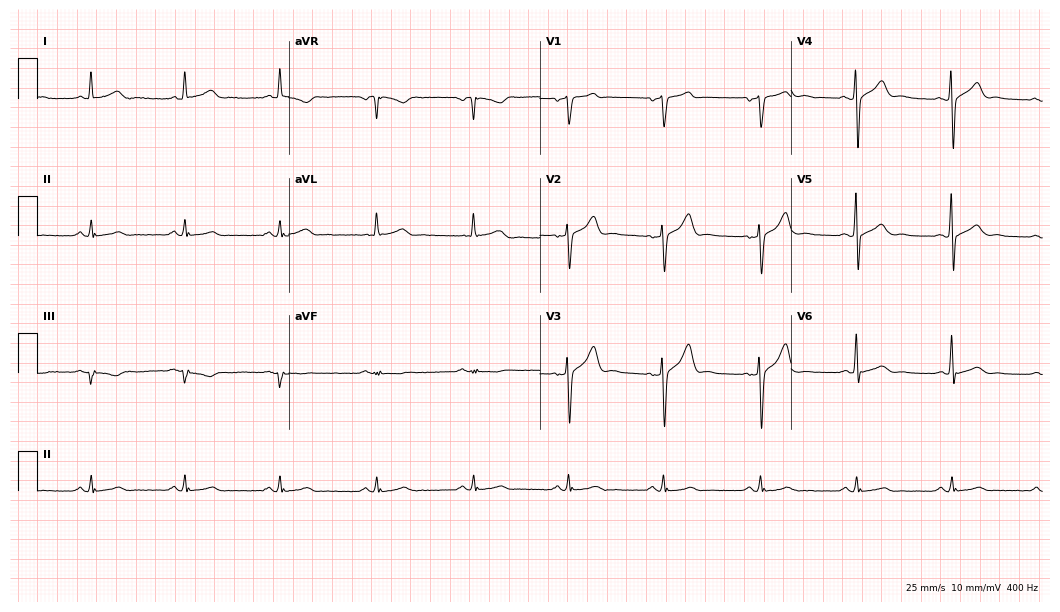
Resting 12-lead electrocardiogram. Patient: a 49-year-old male. Read as a normal ECG.